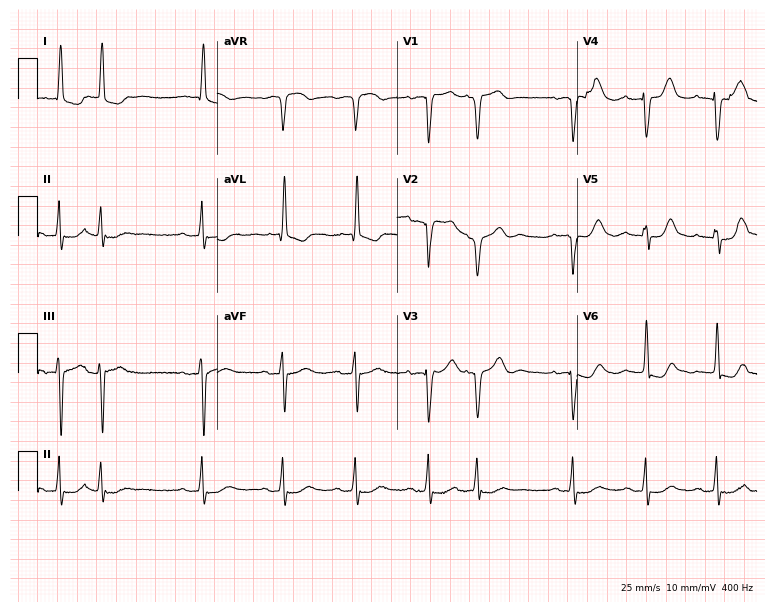
12-lead ECG from an 84-year-old female patient. Recorded interpretation: within normal limits.